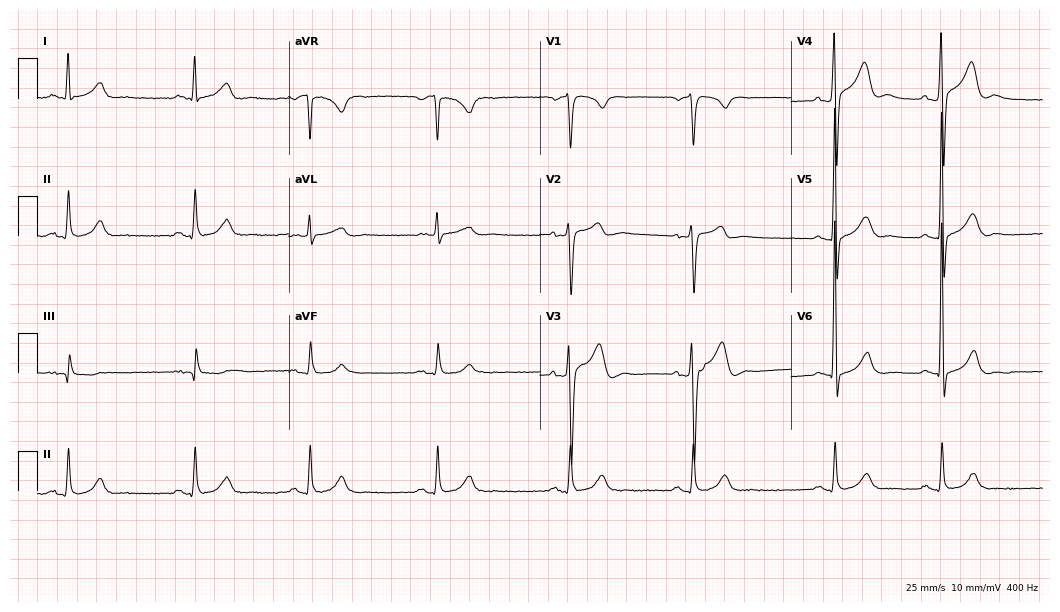
Resting 12-lead electrocardiogram. Patient: a male, 52 years old. The tracing shows sinus bradycardia (a sinus rate of 50 beats per minute or less).